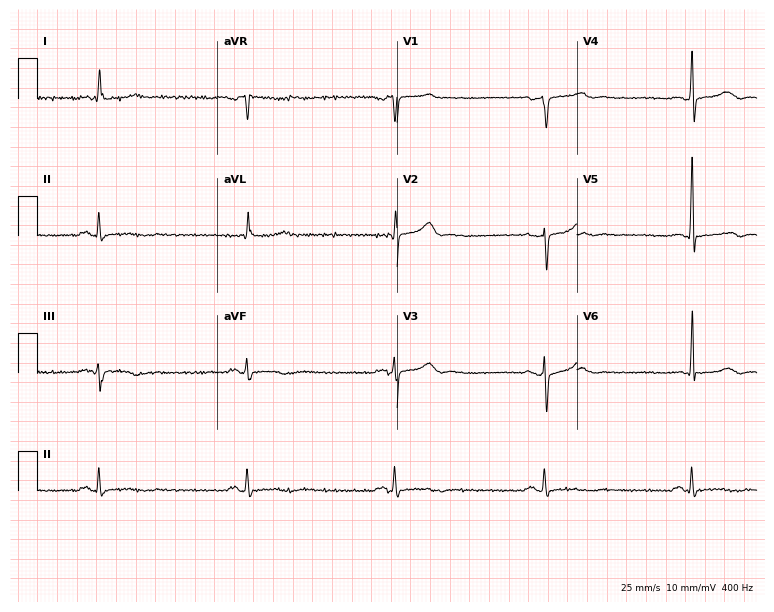
Electrocardiogram (7.3-second recording at 400 Hz), a male, 76 years old. Interpretation includes sinus bradycardia (a sinus rate of 50 beats per minute or less).